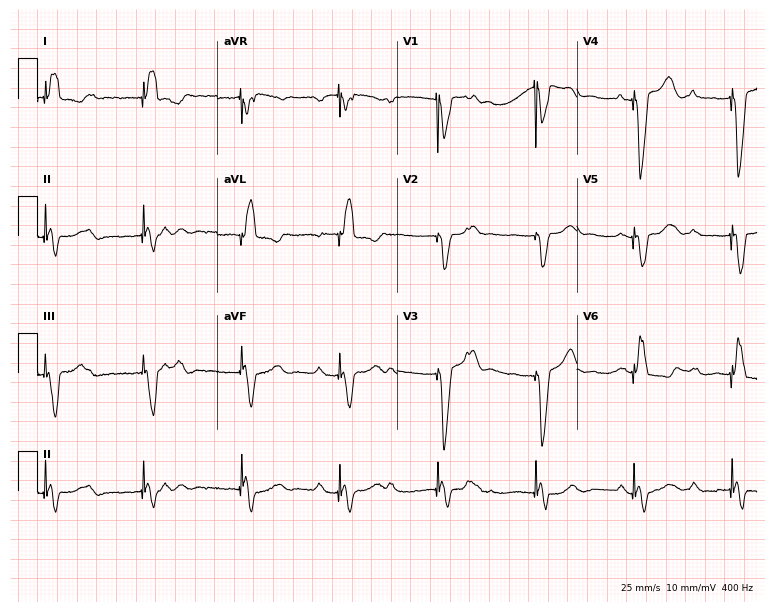
Electrocardiogram (7.3-second recording at 400 Hz), an 82-year-old female. Of the six screened findings (first-degree AV block, right bundle branch block (RBBB), left bundle branch block (LBBB), sinus bradycardia, atrial fibrillation (AF), sinus tachycardia), none is recorded. Other findings, if any, are not listed.